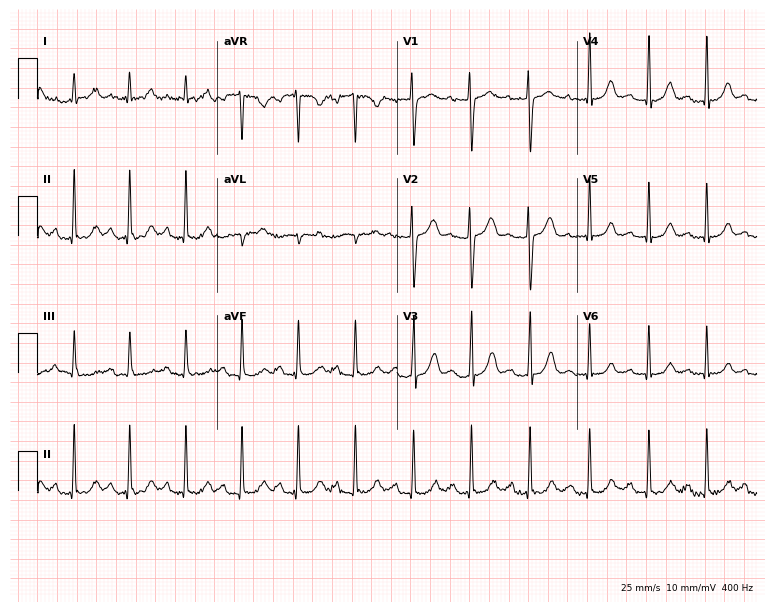
Resting 12-lead electrocardiogram. Patient: a 30-year-old female. The tracing shows sinus tachycardia (a sinus rate of 100 beats per minute or more).